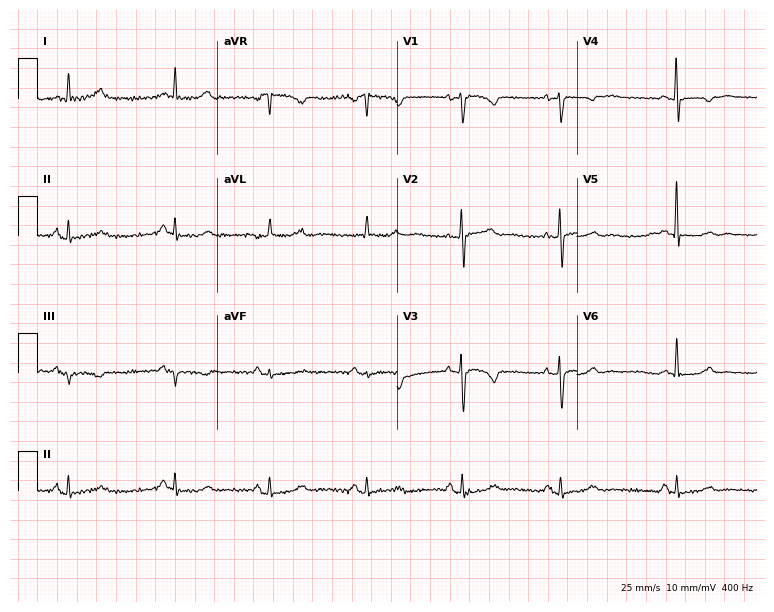
ECG — an 85-year-old woman. Screened for six findings — first-degree AV block, right bundle branch block (RBBB), left bundle branch block (LBBB), sinus bradycardia, atrial fibrillation (AF), sinus tachycardia — none is recorded.